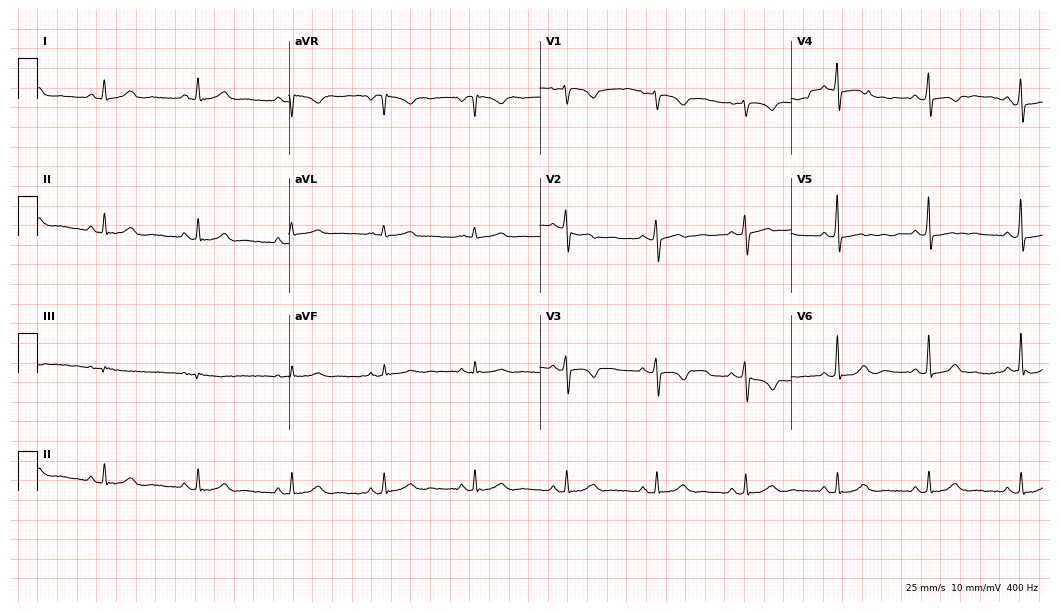
12-lead ECG (10.2-second recording at 400 Hz) from a 46-year-old female. Screened for six findings — first-degree AV block, right bundle branch block, left bundle branch block, sinus bradycardia, atrial fibrillation, sinus tachycardia — none is recorded.